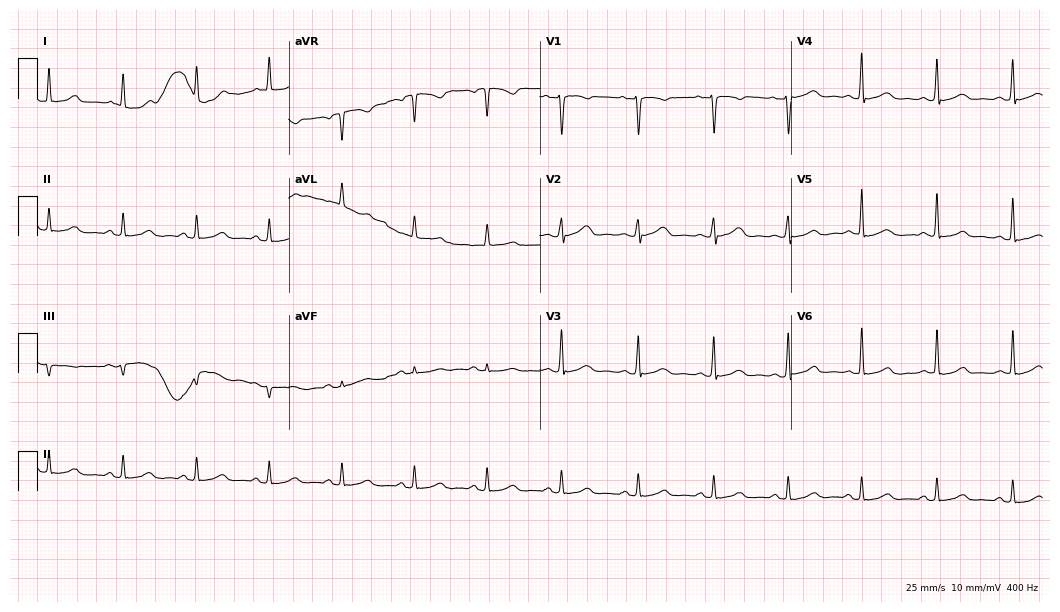
Electrocardiogram, a 36-year-old female. Of the six screened findings (first-degree AV block, right bundle branch block (RBBB), left bundle branch block (LBBB), sinus bradycardia, atrial fibrillation (AF), sinus tachycardia), none is recorded.